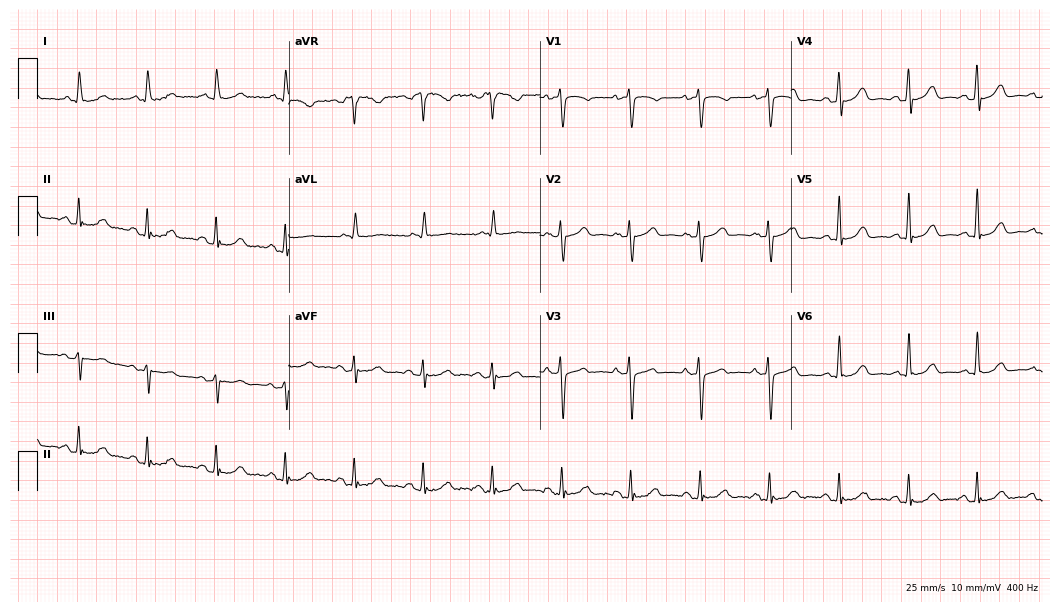
12-lead ECG (10.2-second recording at 400 Hz) from a female, 74 years old. Screened for six findings — first-degree AV block, right bundle branch block, left bundle branch block, sinus bradycardia, atrial fibrillation, sinus tachycardia — none is recorded. Findings outside these six are not listed.